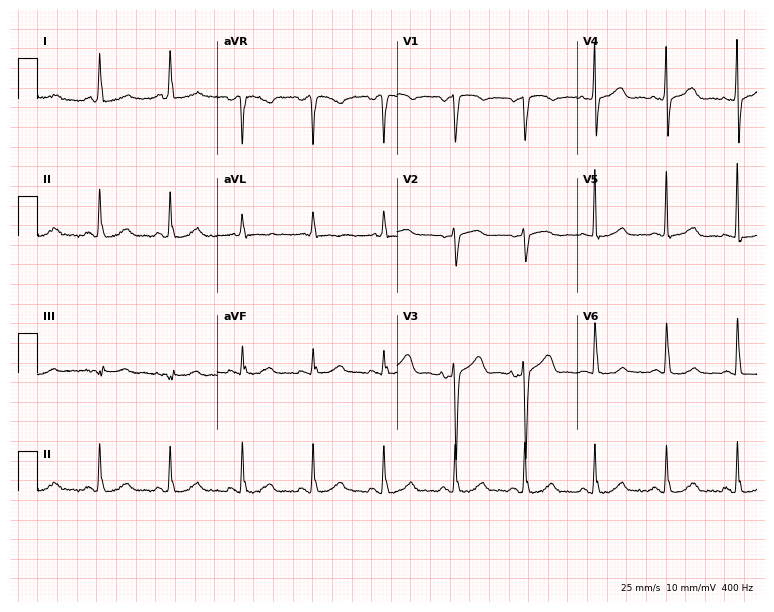
12-lead ECG from a woman, 60 years old. Labelled as a normal ECG.